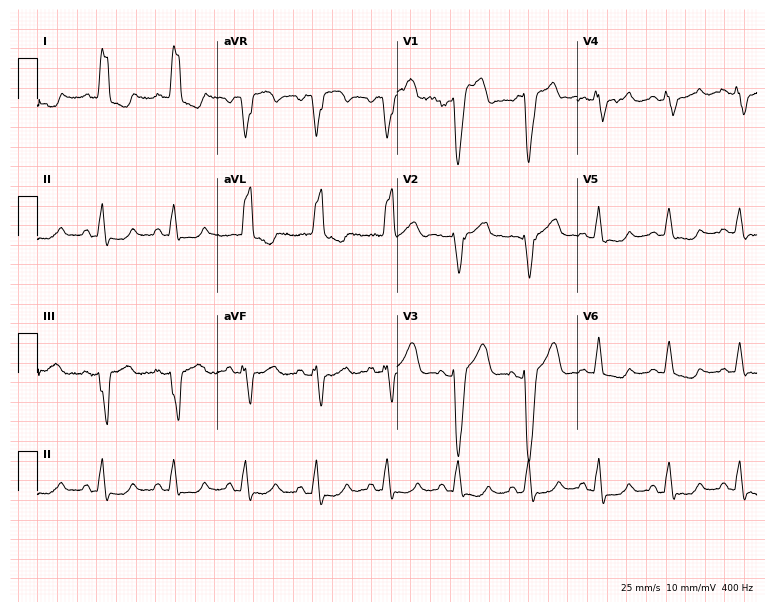
Resting 12-lead electrocardiogram (7.3-second recording at 400 Hz). Patient: a female, 71 years old. The tracing shows left bundle branch block.